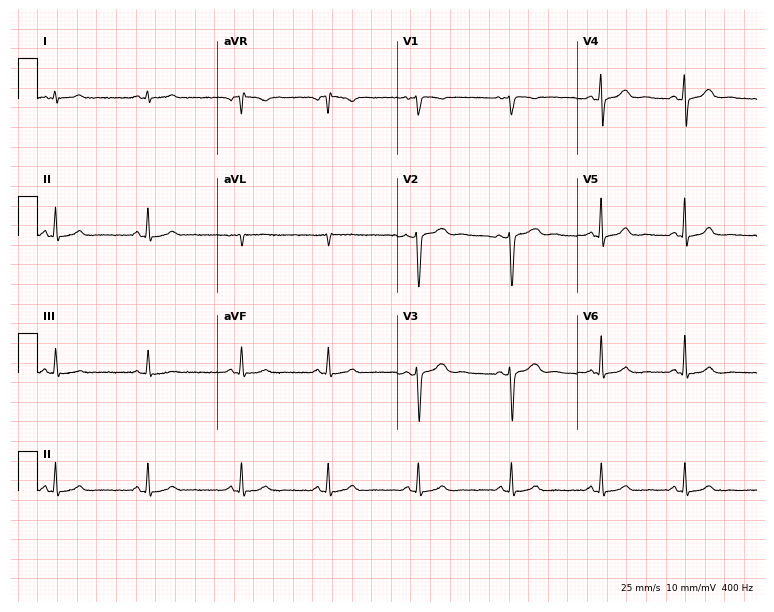
12-lead ECG (7.3-second recording at 400 Hz) from a 23-year-old female. Labelled as a normal ECG.